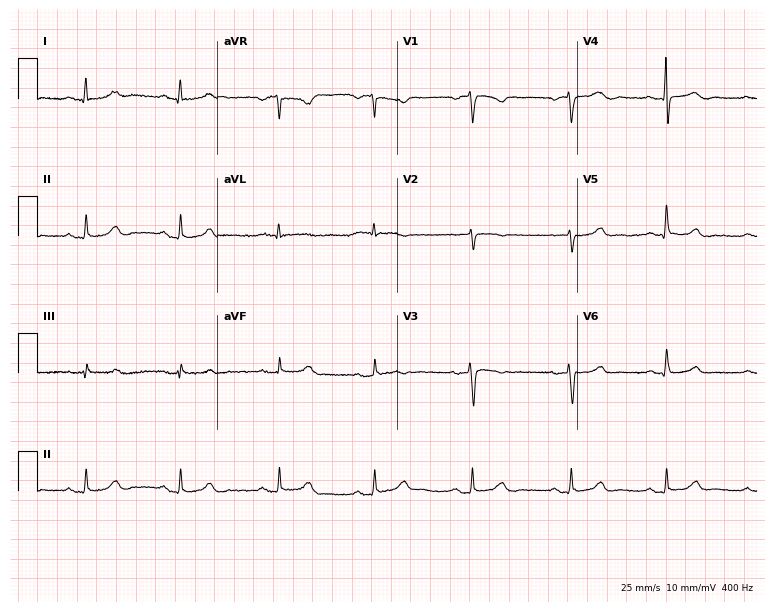
12-lead ECG from a woman, 52 years old. Labelled as a normal ECG.